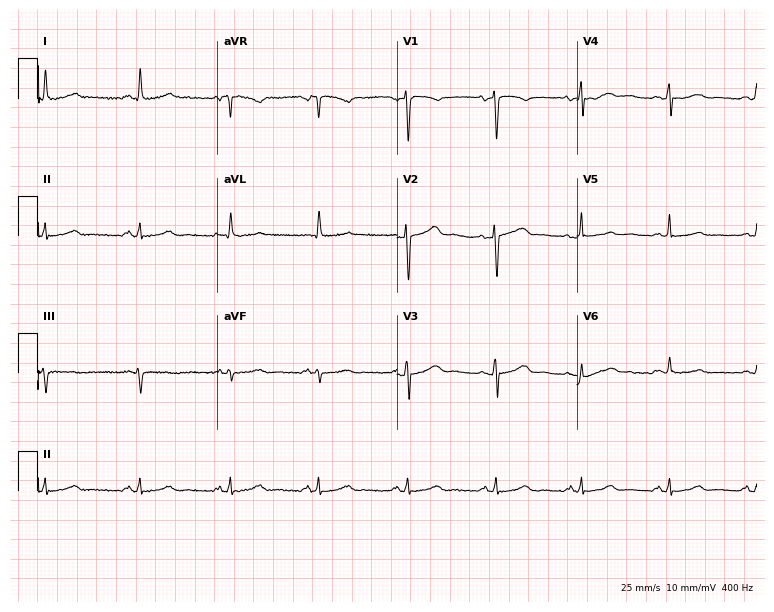
Standard 12-lead ECG recorded from a 47-year-old female. None of these six findings is recorded: first-degree AV block, right bundle branch block (RBBB), left bundle branch block (LBBB), sinus bradycardia, atrial fibrillation (AF), sinus tachycardia.